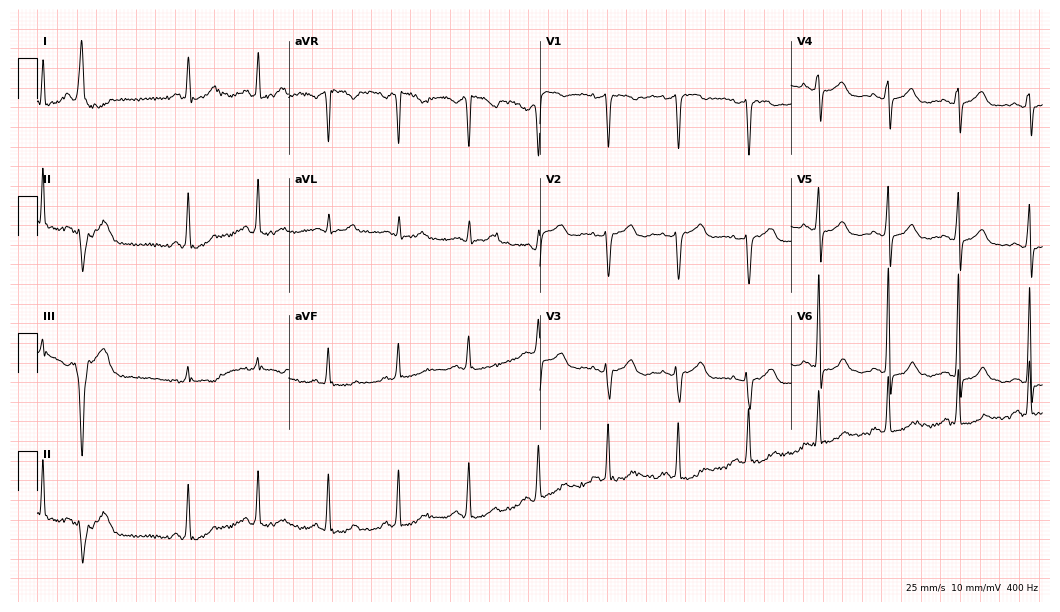
12-lead ECG from a 56-year-old female patient (10.2-second recording at 400 Hz). No first-degree AV block, right bundle branch block, left bundle branch block, sinus bradycardia, atrial fibrillation or sinus tachycardia recorded for this tracing.